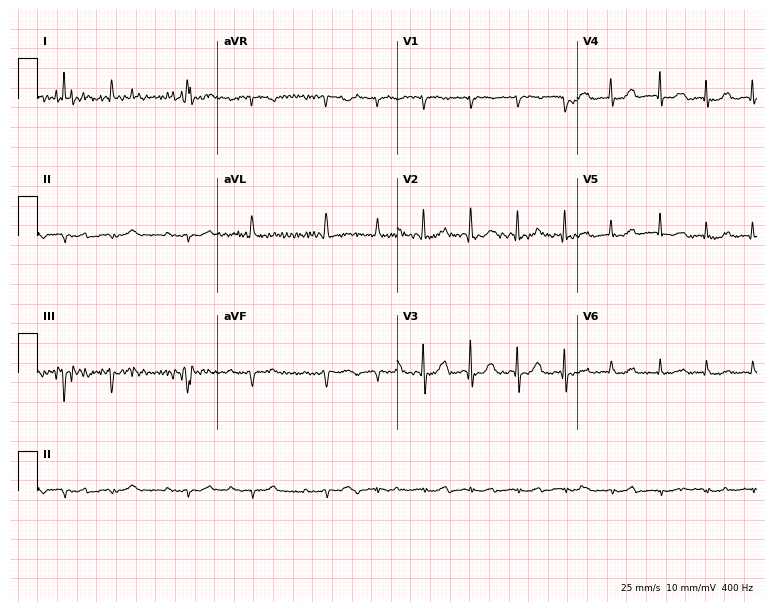
Standard 12-lead ECG recorded from an 84-year-old female. None of these six findings is recorded: first-degree AV block, right bundle branch block, left bundle branch block, sinus bradycardia, atrial fibrillation, sinus tachycardia. Only these six findings were labelled.